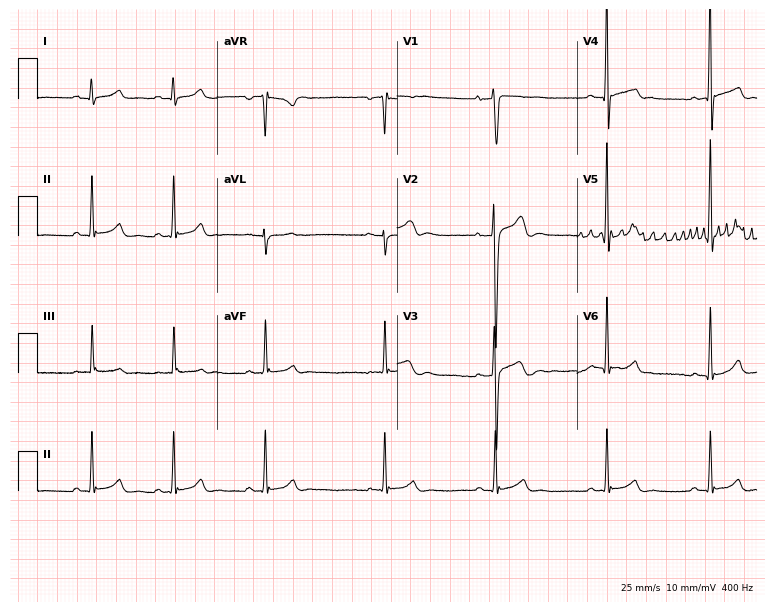
Standard 12-lead ECG recorded from a male patient, 21 years old. None of these six findings is recorded: first-degree AV block, right bundle branch block, left bundle branch block, sinus bradycardia, atrial fibrillation, sinus tachycardia. Findings outside these six are not listed.